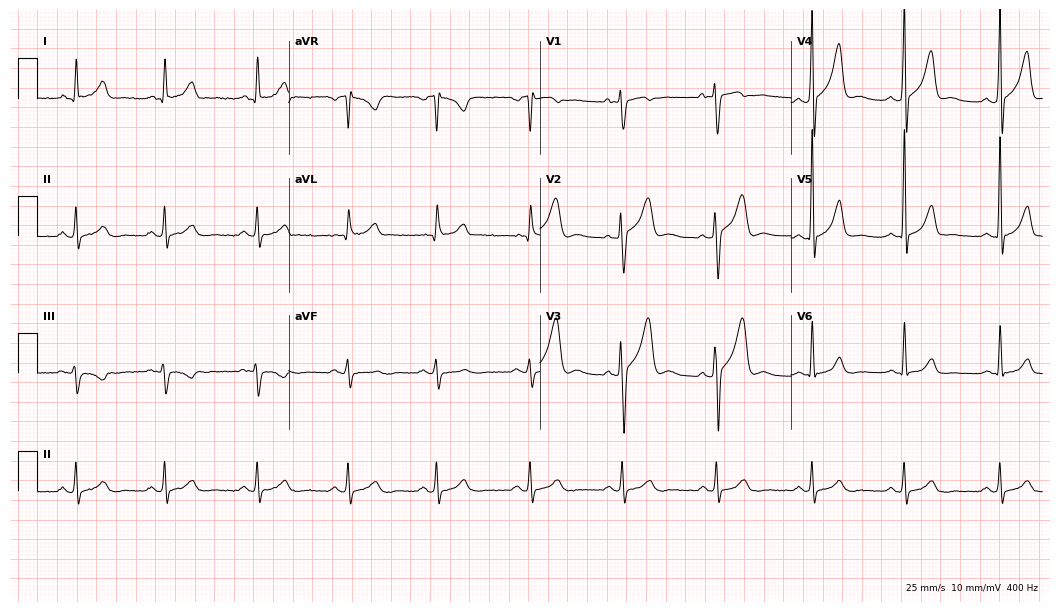
12-lead ECG from a 39-year-old male patient. Labelled as a normal ECG.